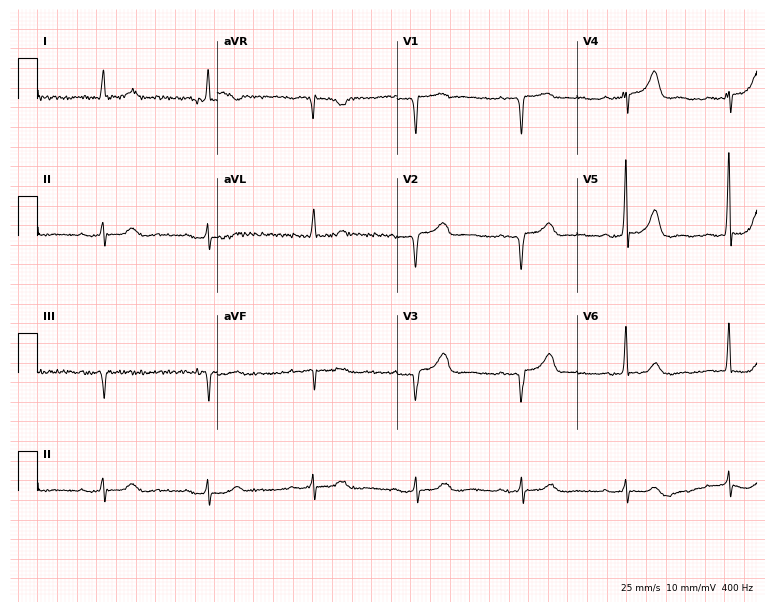
Resting 12-lead electrocardiogram. Patient: a male, 84 years old. Read as a normal ECG.